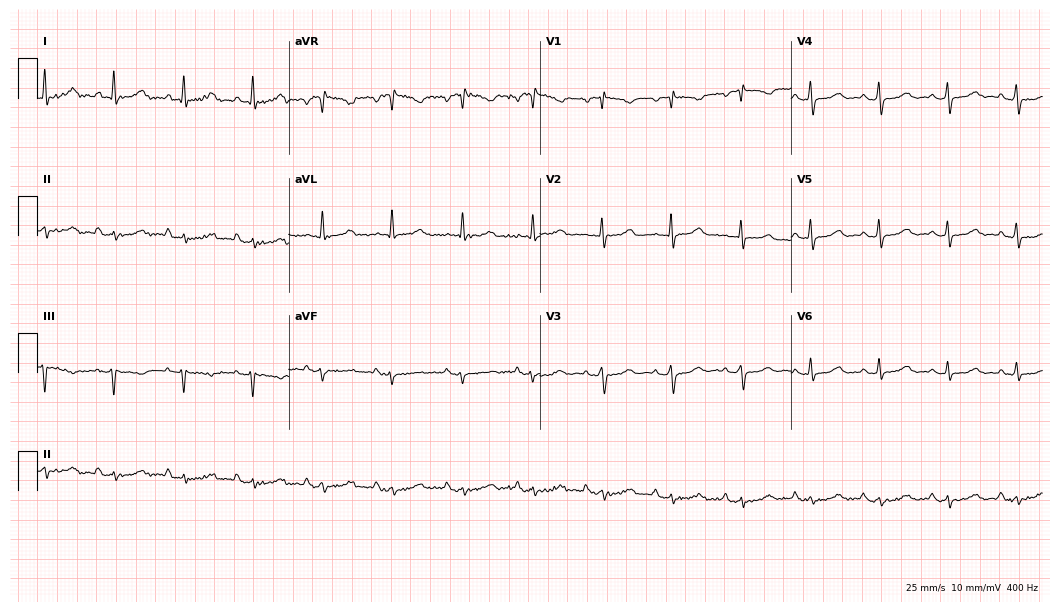
Resting 12-lead electrocardiogram (10.2-second recording at 400 Hz). Patient: a 66-year-old woman. None of these six findings is recorded: first-degree AV block, right bundle branch block, left bundle branch block, sinus bradycardia, atrial fibrillation, sinus tachycardia. Only these six findings were labelled.